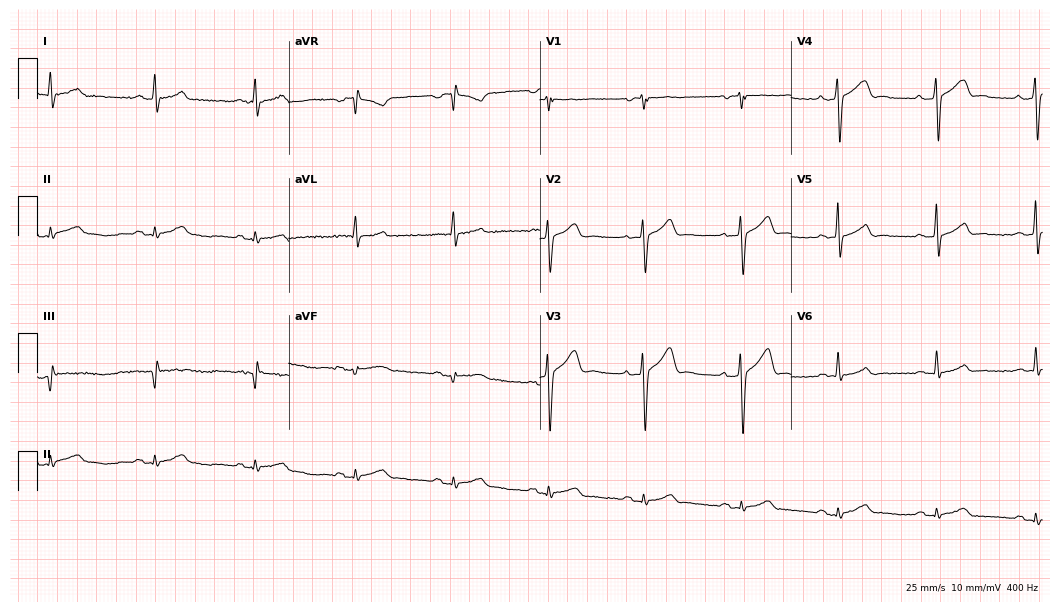
Resting 12-lead electrocardiogram (10.2-second recording at 400 Hz). Patient: a man, 39 years old. Read as a normal ECG.